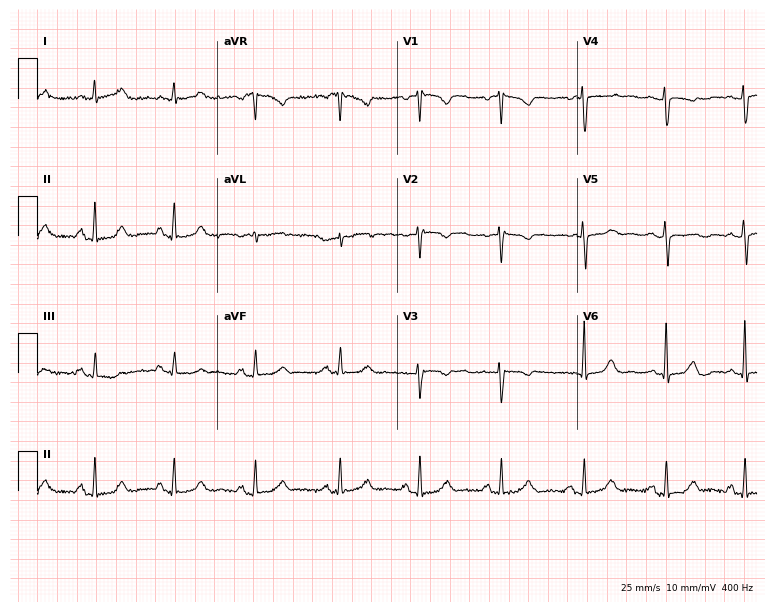
12-lead ECG from a female, 80 years old (7.3-second recording at 400 Hz). No first-degree AV block, right bundle branch block (RBBB), left bundle branch block (LBBB), sinus bradycardia, atrial fibrillation (AF) or sinus tachycardia recorded for this tracing. Other findings, if any, are not listed.